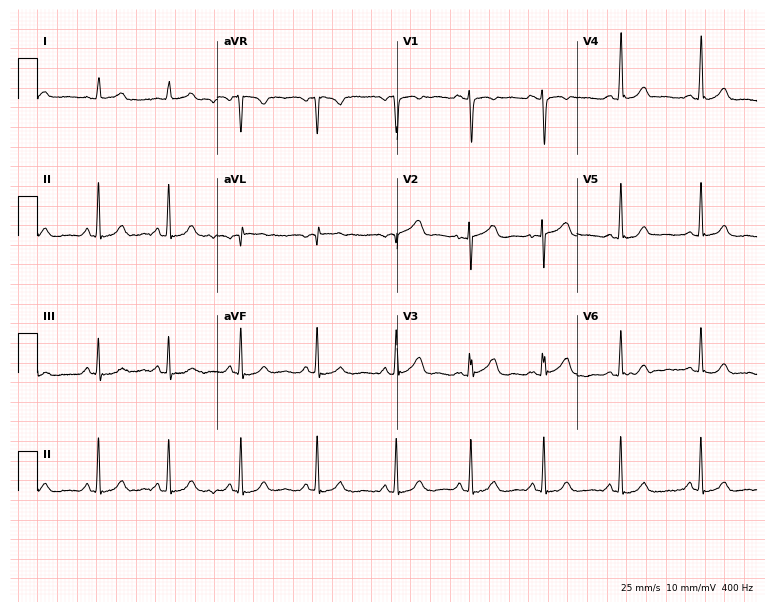
Electrocardiogram, a woman, 48 years old. Overall reading on record: normal ECG.